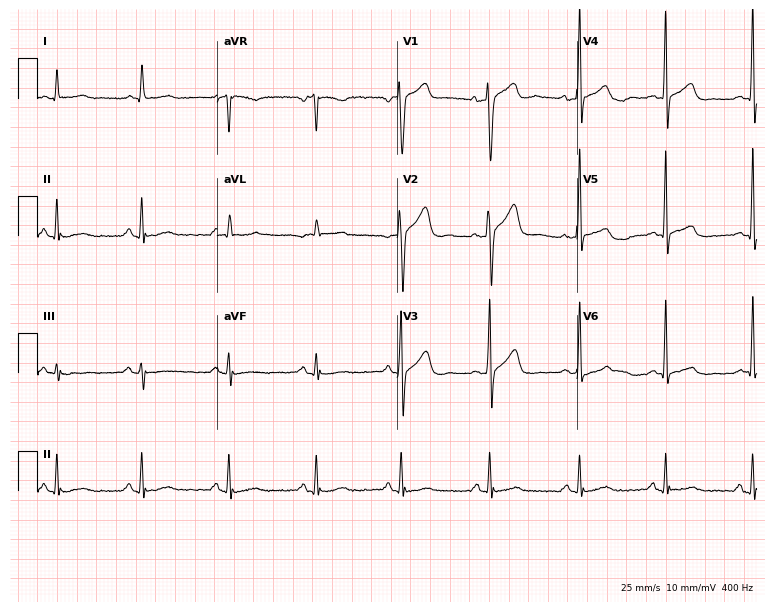
12-lead ECG from a 62-year-old man (7.3-second recording at 400 Hz). Recorded interpretation: within normal limits.